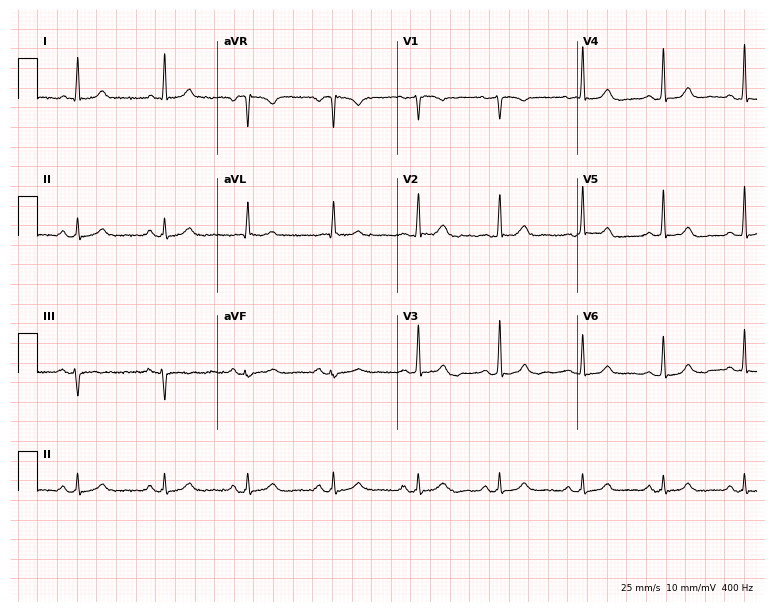
12-lead ECG from a female, 56 years old. No first-degree AV block, right bundle branch block (RBBB), left bundle branch block (LBBB), sinus bradycardia, atrial fibrillation (AF) or sinus tachycardia recorded for this tracing. Findings outside these six are not listed.